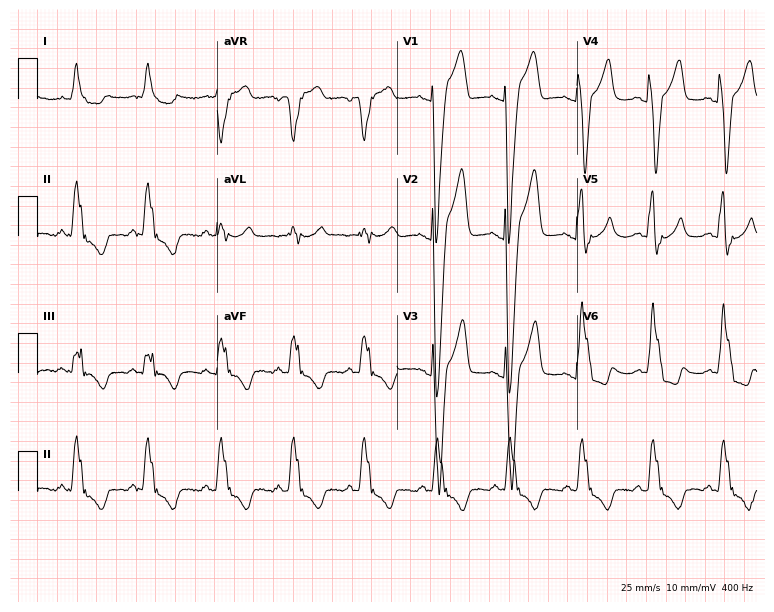
12-lead ECG (7.3-second recording at 400 Hz) from a female patient, 58 years old. Findings include left bundle branch block.